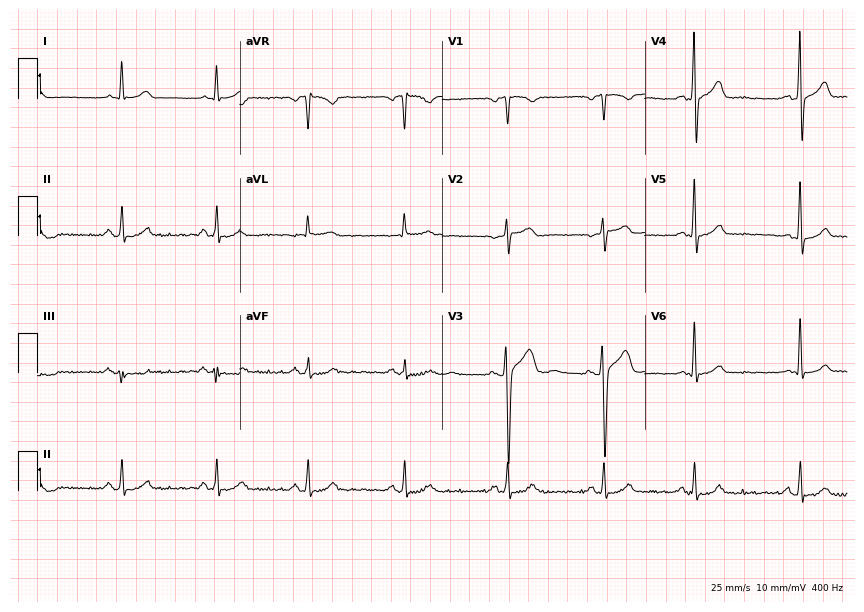
12-lead ECG from a 31-year-old man (8.3-second recording at 400 Hz). No first-degree AV block, right bundle branch block, left bundle branch block, sinus bradycardia, atrial fibrillation or sinus tachycardia recorded for this tracing. Only these six findings were labelled.